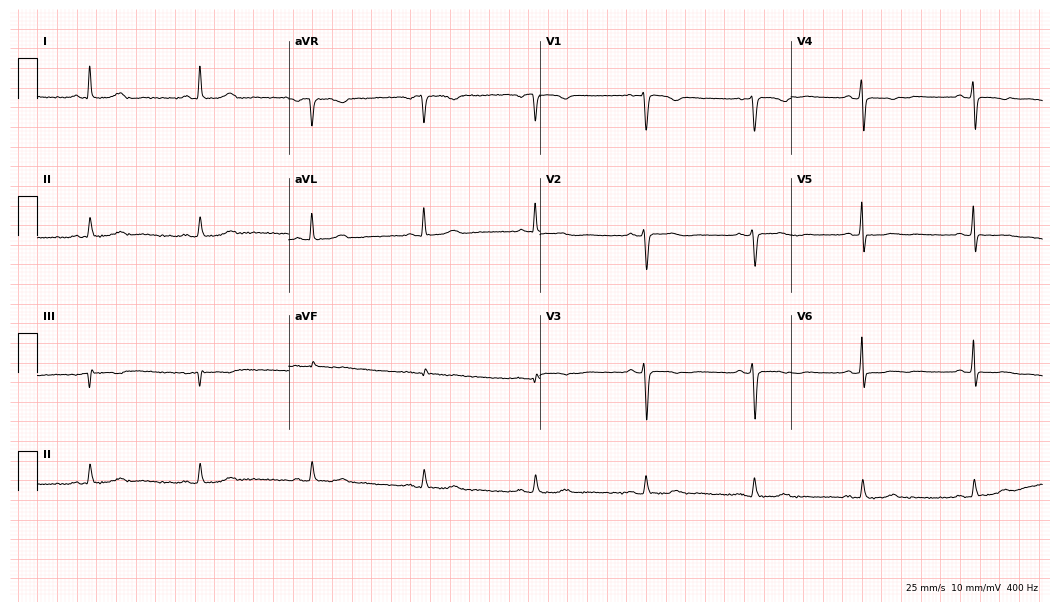
12-lead ECG (10.2-second recording at 400 Hz) from a female patient, 62 years old. Screened for six findings — first-degree AV block, right bundle branch block, left bundle branch block, sinus bradycardia, atrial fibrillation, sinus tachycardia — none is recorded. Only these six findings were labelled.